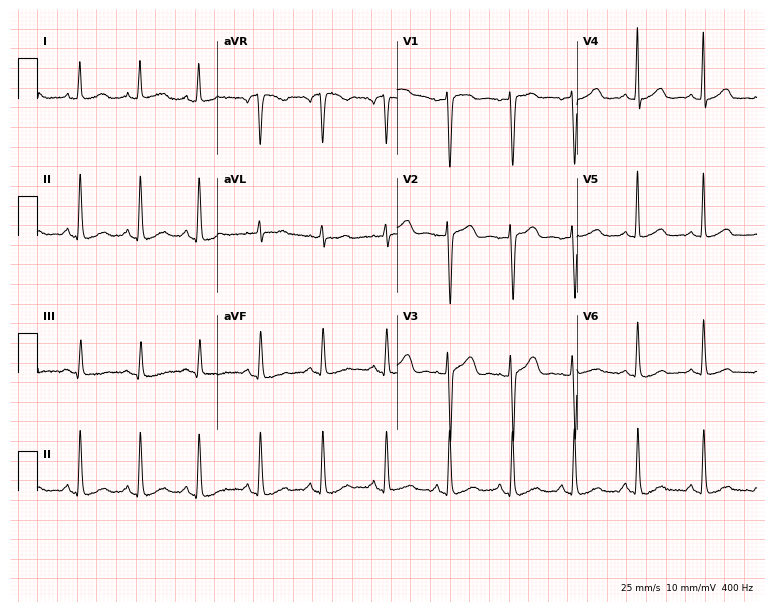
Standard 12-lead ECG recorded from a 44-year-old female. None of these six findings is recorded: first-degree AV block, right bundle branch block, left bundle branch block, sinus bradycardia, atrial fibrillation, sinus tachycardia. Only these six findings were labelled.